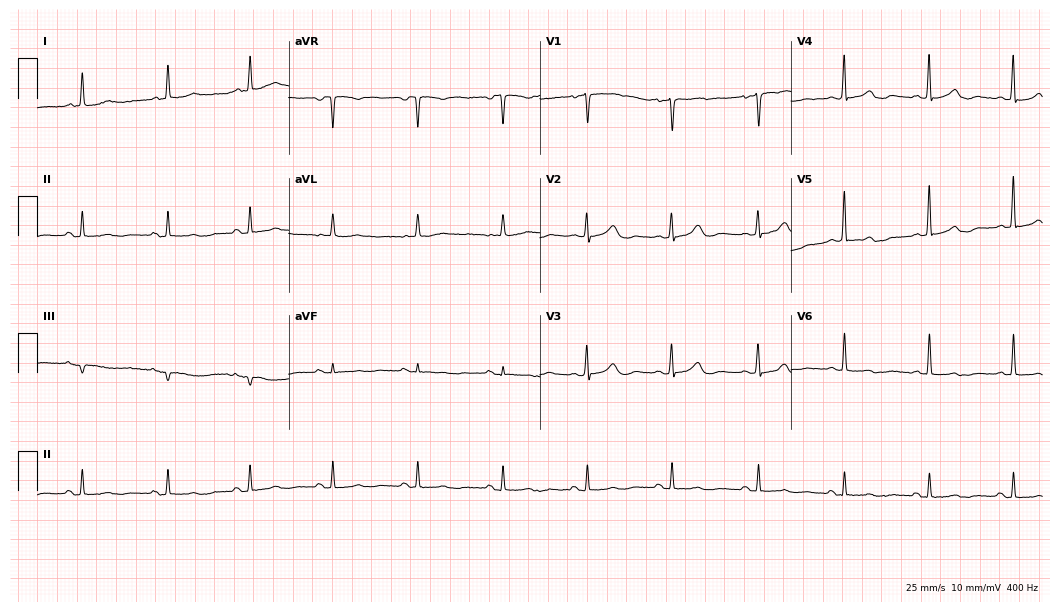
Resting 12-lead electrocardiogram (10.2-second recording at 400 Hz). Patient: a 79-year-old female. Read as a normal ECG.